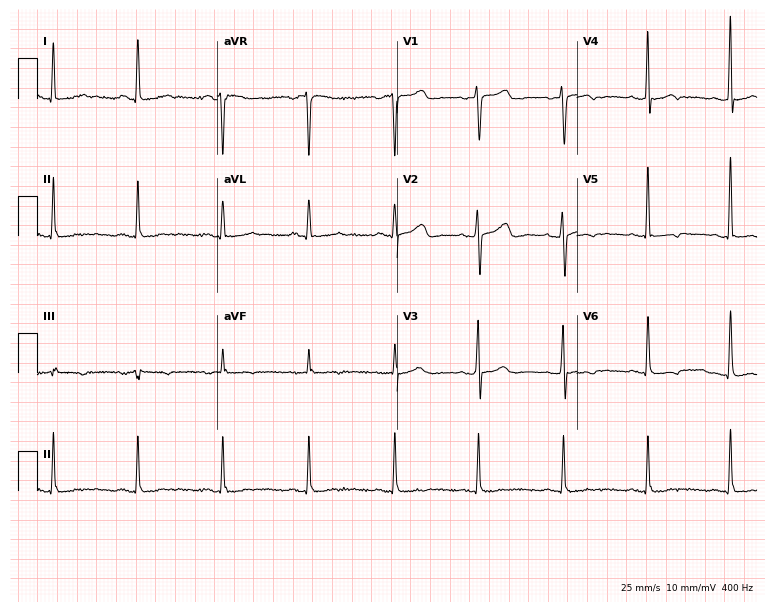
12-lead ECG from a 60-year-old female patient (7.3-second recording at 400 Hz). No first-degree AV block, right bundle branch block (RBBB), left bundle branch block (LBBB), sinus bradycardia, atrial fibrillation (AF) or sinus tachycardia recorded for this tracing. Findings outside these six are not listed.